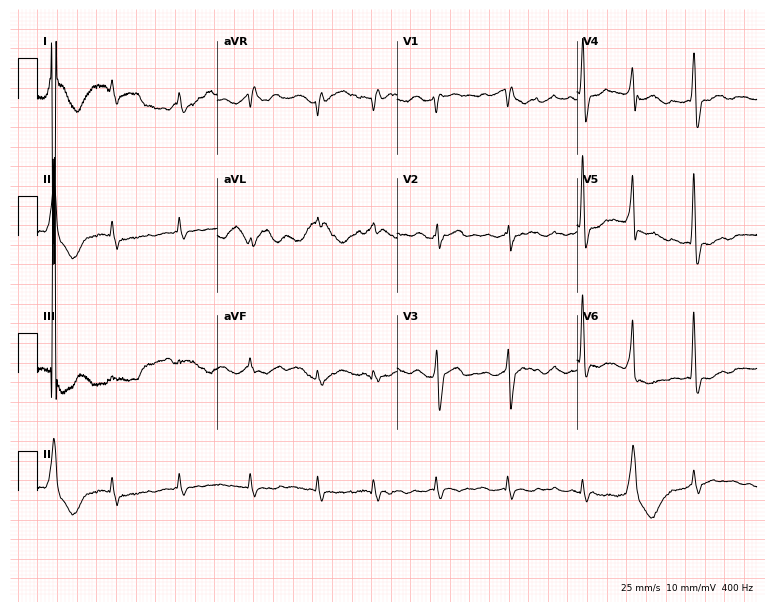
Electrocardiogram, a male, 79 years old. Of the six screened findings (first-degree AV block, right bundle branch block, left bundle branch block, sinus bradycardia, atrial fibrillation, sinus tachycardia), none is recorded.